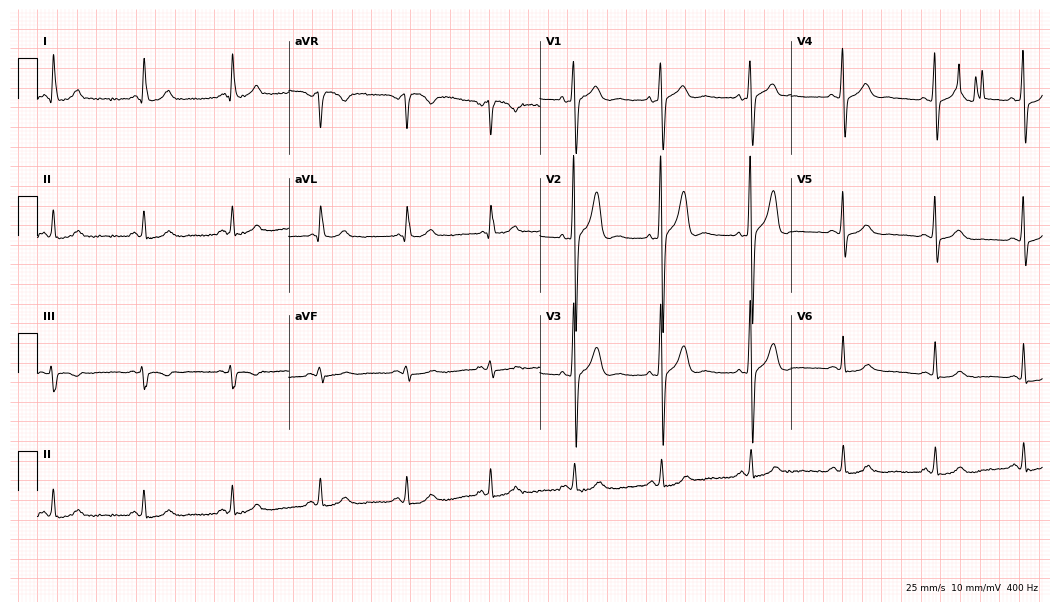
Electrocardiogram (10.2-second recording at 400 Hz), a 51-year-old man. Overall reading on record: normal ECG.